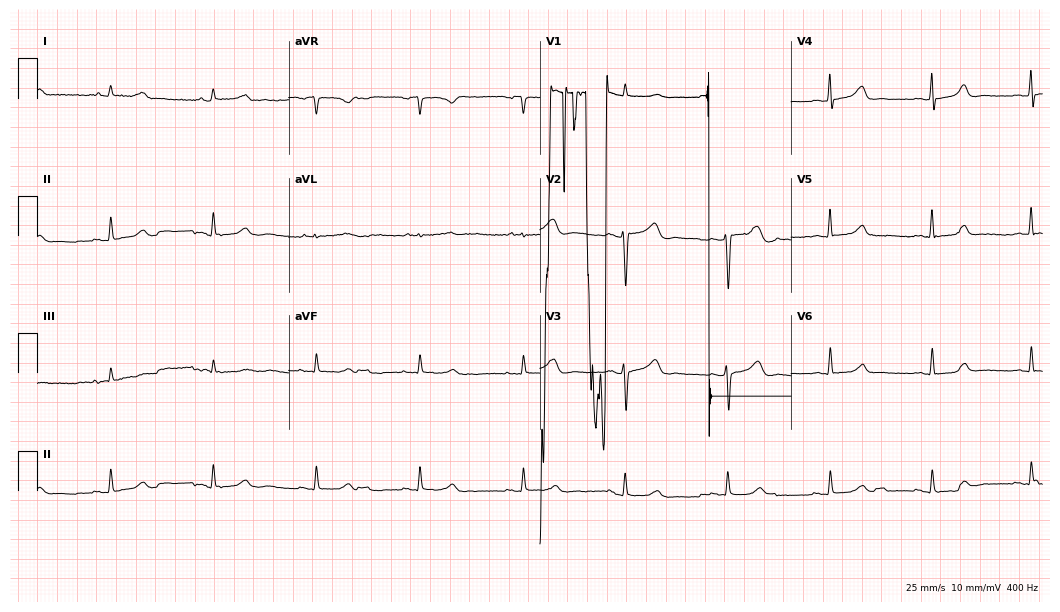
Electrocardiogram (10.2-second recording at 400 Hz), a 46-year-old female patient. Of the six screened findings (first-degree AV block, right bundle branch block, left bundle branch block, sinus bradycardia, atrial fibrillation, sinus tachycardia), none is recorded.